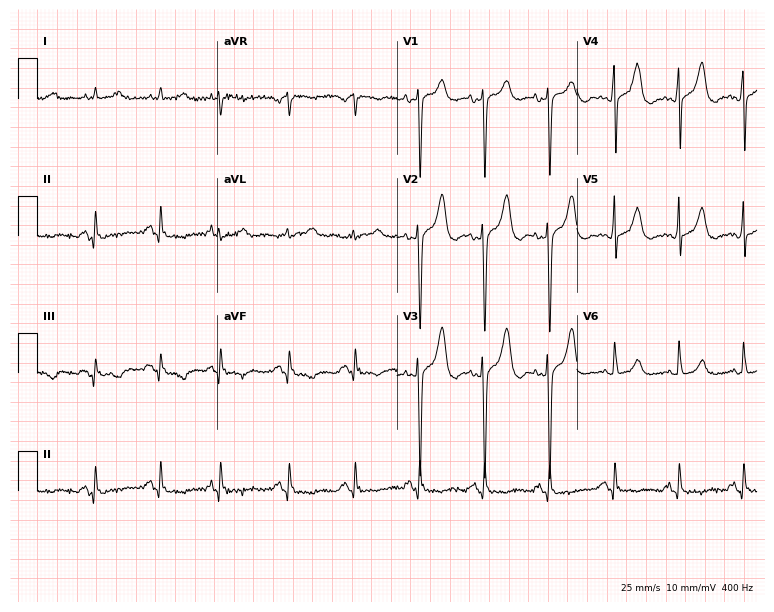
ECG (7.3-second recording at 400 Hz) — a woman, 77 years old. Screened for six findings — first-degree AV block, right bundle branch block (RBBB), left bundle branch block (LBBB), sinus bradycardia, atrial fibrillation (AF), sinus tachycardia — none is recorded. Other findings, if any, are not listed.